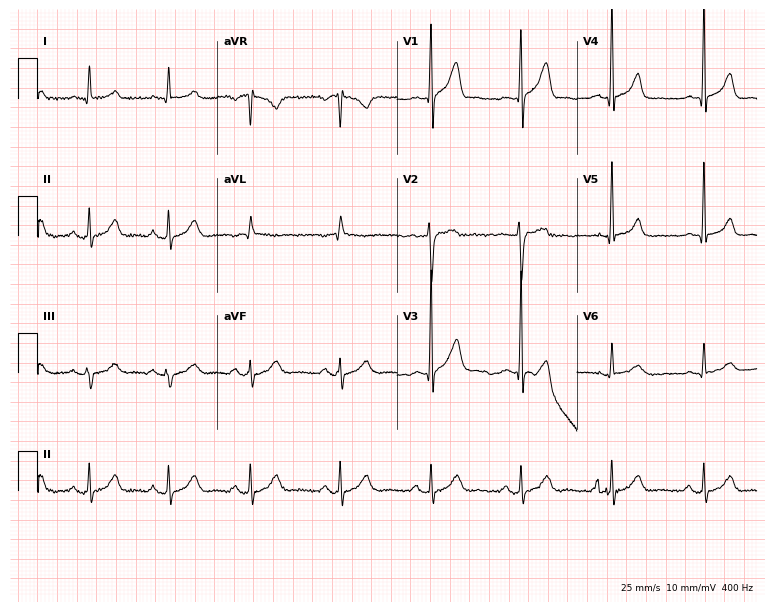
ECG (7.3-second recording at 400 Hz) — a 34-year-old man. Labelled as a normal ECG.